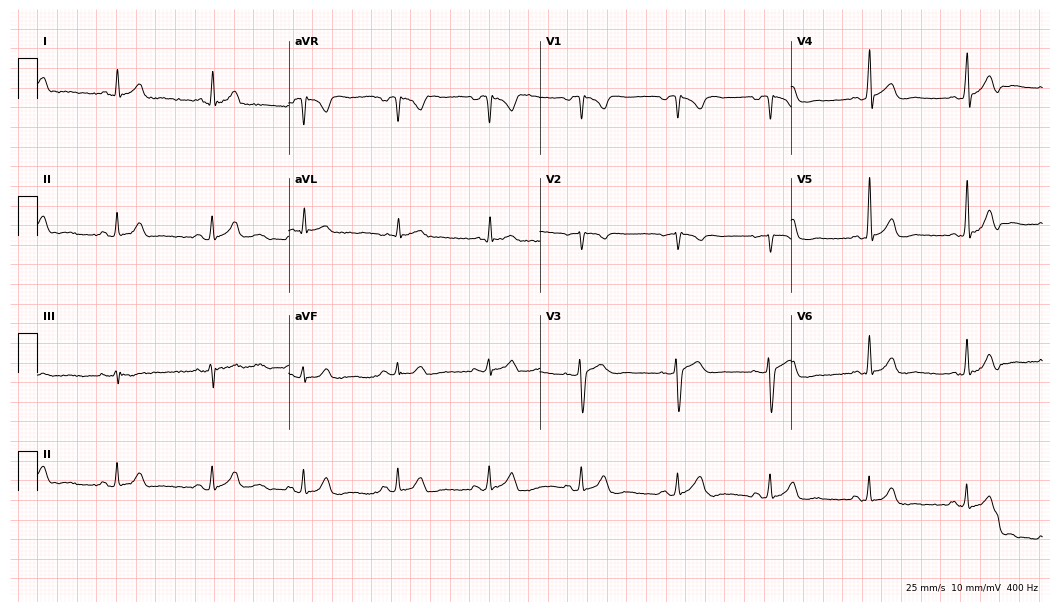
12-lead ECG from a 36-year-old male (10.2-second recording at 400 Hz). No first-degree AV block, right bundle branch block (RBBB), left bundle branch block (LBBB), sinus bradycardia, atrial fibrillation (AF) or sinus tachycardia recorded for this tracing.